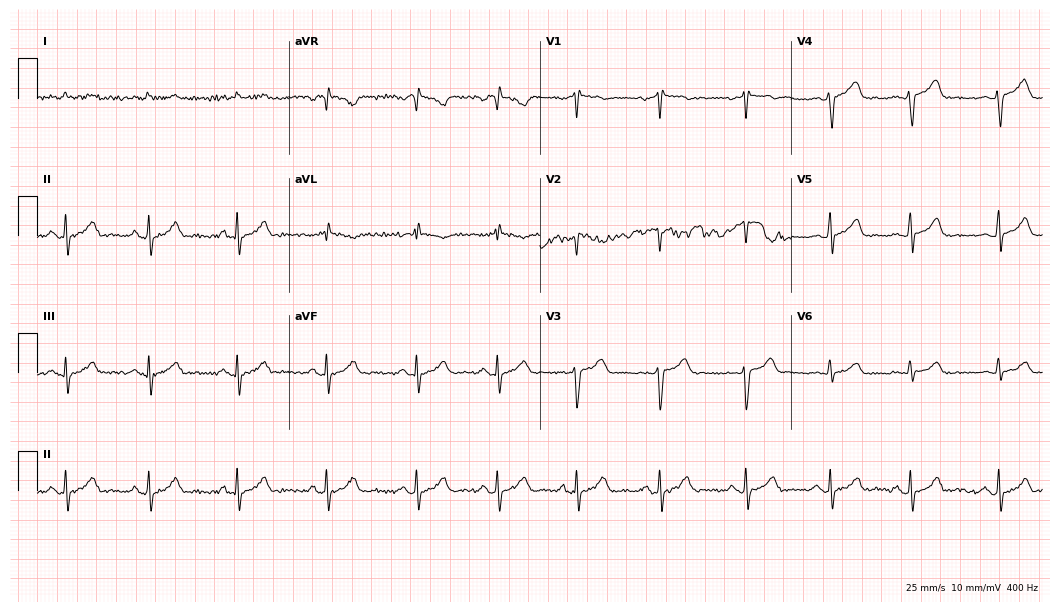
Standard 12-lead ECG recorded from a 39-year-old male (10.2-second recording at 400 Hz). Read as a normal ECG.